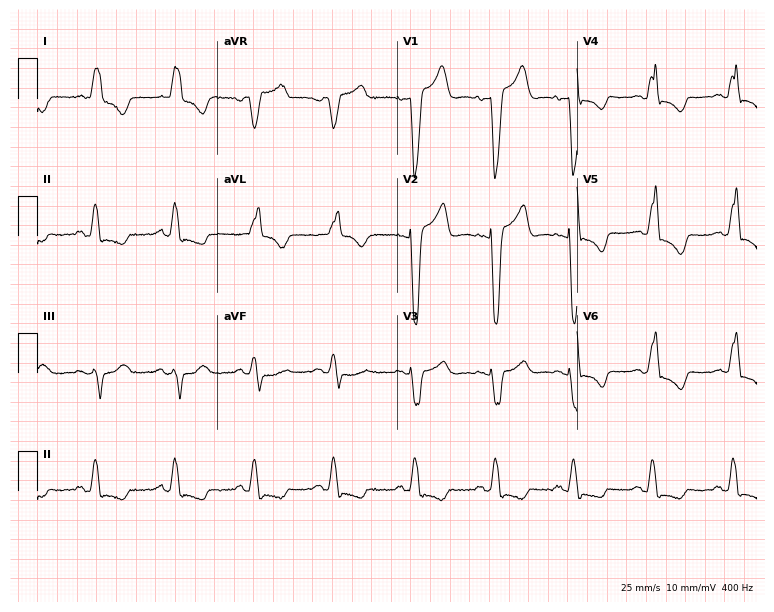
Standard 12-lead ECG recorded from a female patient, 78 years old. The tracing shows left bundle branch block (LBBB).